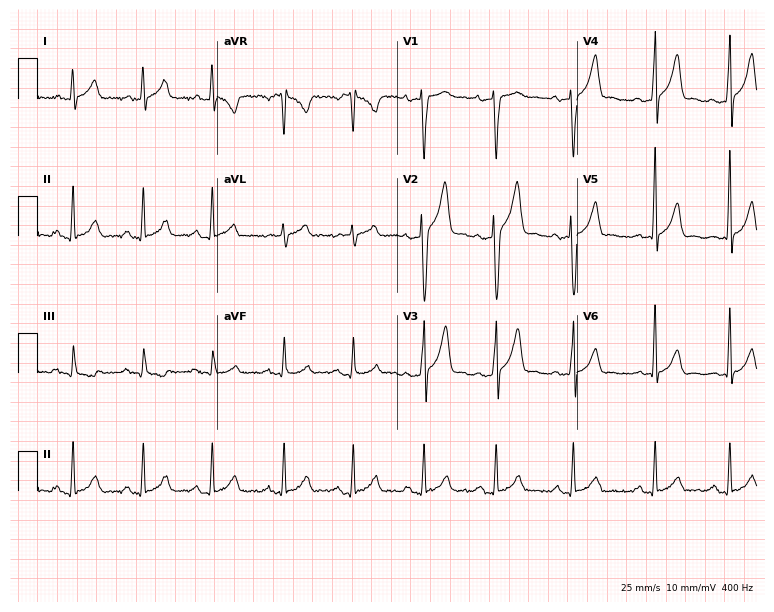
Resting 12-lead electrocardiogram (7.3-second recording at 400 Hz). Patient: a 33-year-old male. Read as a normal ECG.